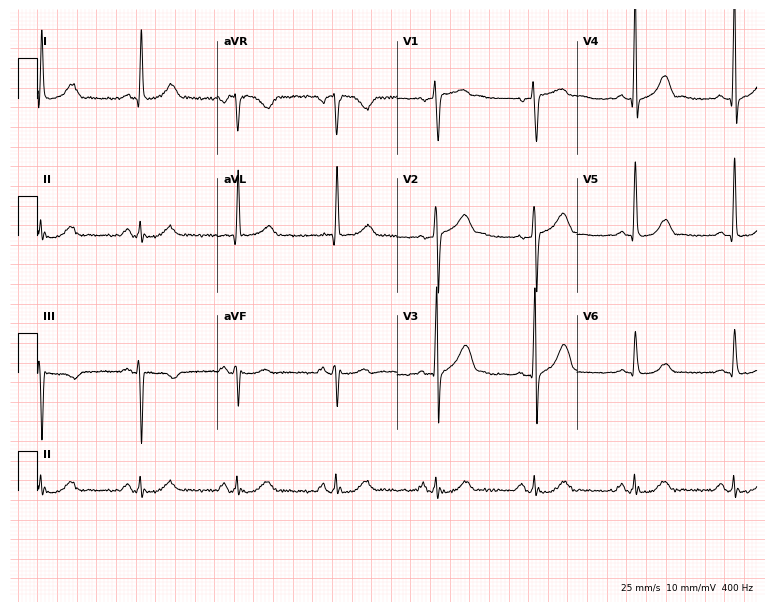
12-lead ECG from a 49-year-old man (7.3-second recording at 400 Hz). No first-degree AV block, right bundle branch block, left bundle branch block, sinus bradycardia, atrial fibrillation or sinus tachycardia recorded for this tracing.